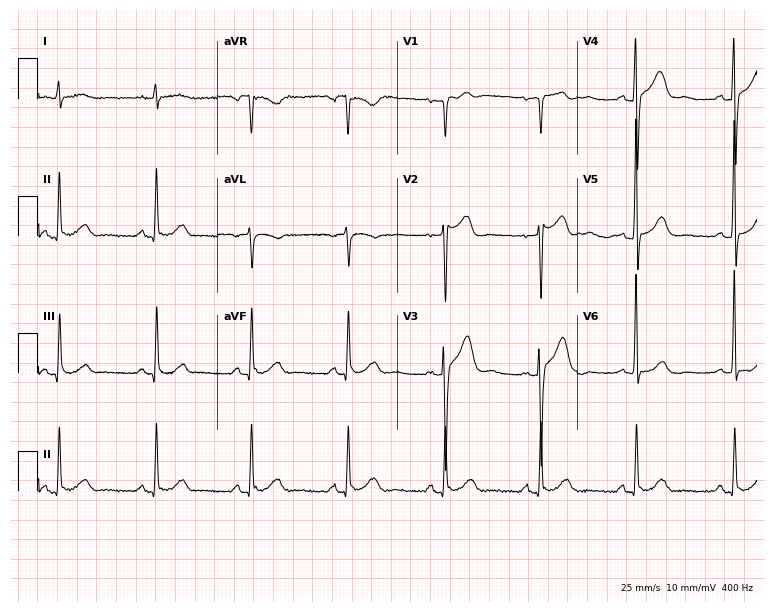
Resting 12-lead electrocardiogram. Patient: a man, 74 years old. None of these six findings is recorded: first-degree AV block, right bundle branch block, left bundle branch block, sinus bradycardia, atrial fibrillation, sinus tachycardia.